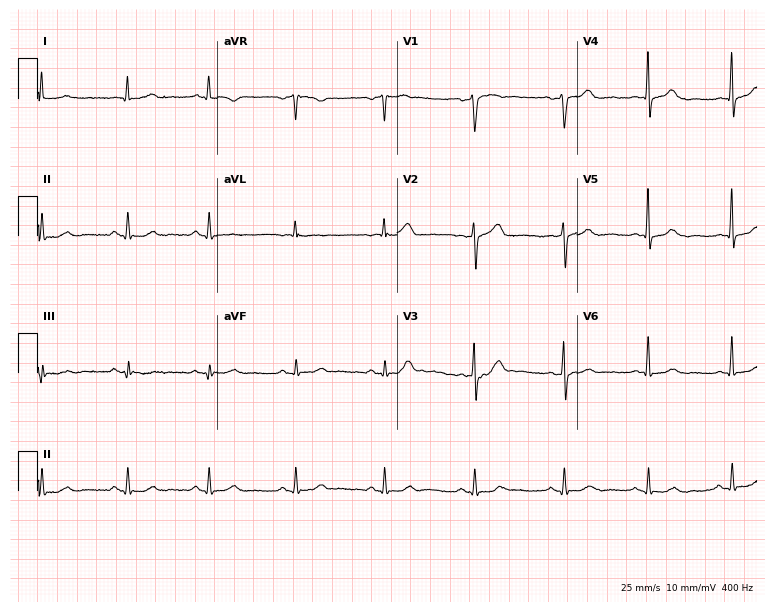
Resting 12-lead electrocardiogram (7.3-second recording at 400 Hz). Patient: a 57-year-old man. Read as a normal ECG.